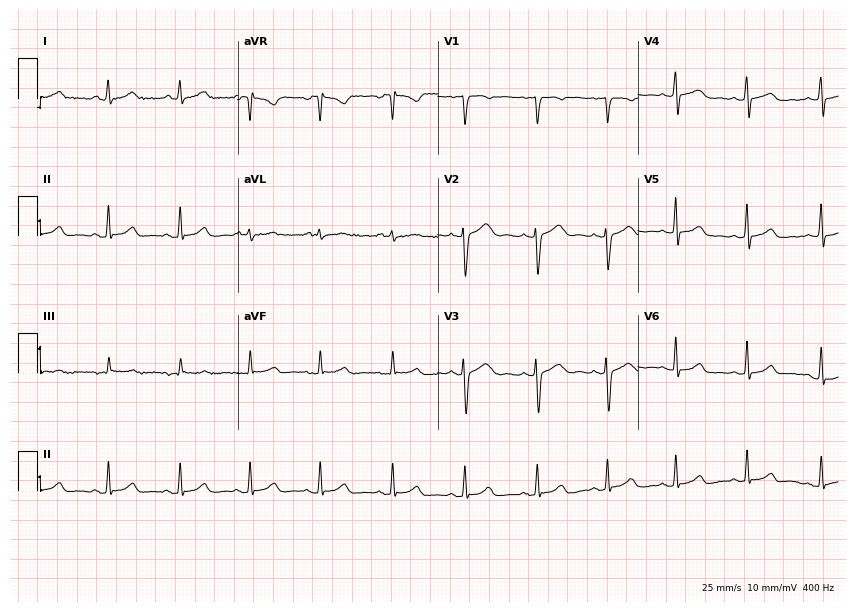
12-lead ECG from a 22-year-old female. Recorded interpretation: within normal limits.